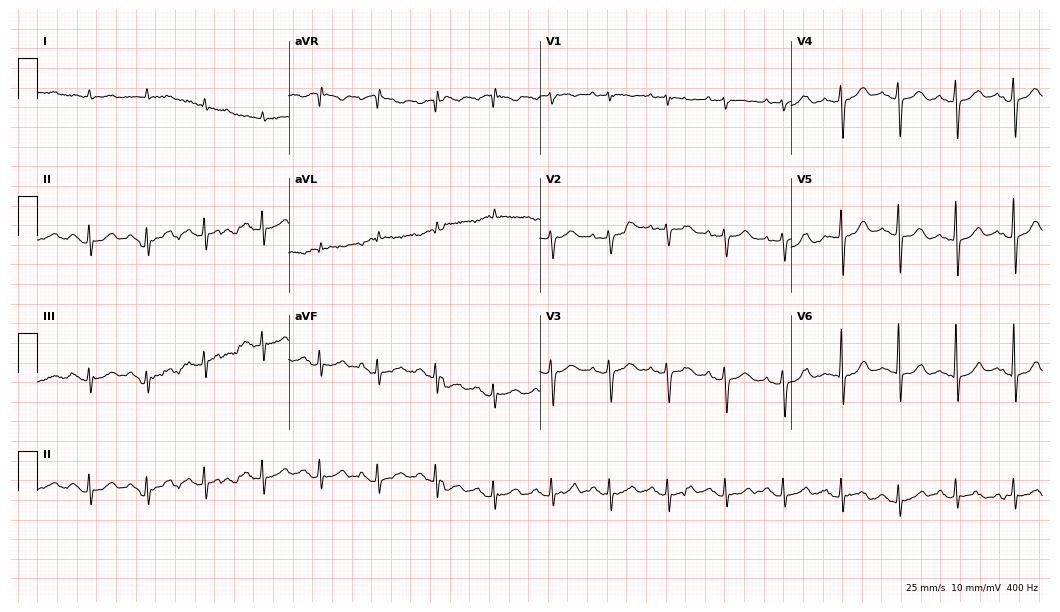
Electrocardiogram (10.2-second recording at 400 Hz), a female, 85 years old. Interpretation includes sinus tachycardia (a sinus rate of 100 beats per minute or more).